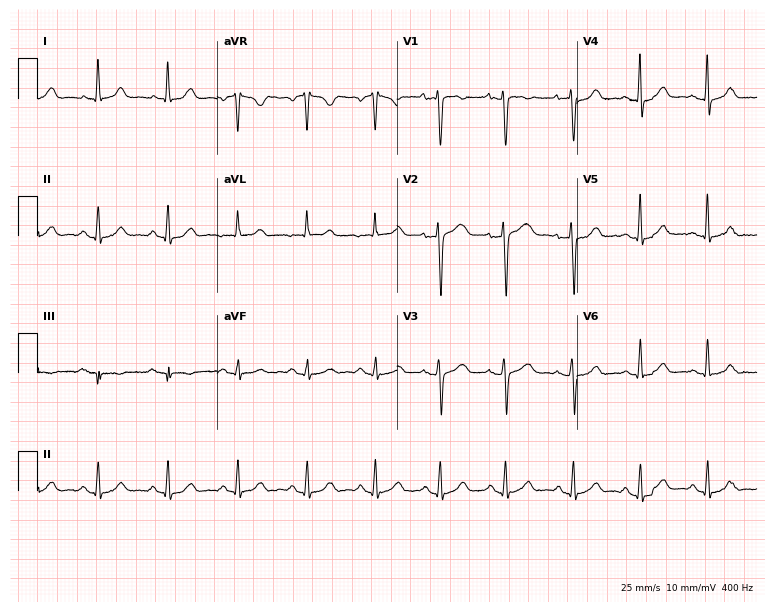
Standard 12-lead ECG recorded from a woman, 56 years old (7.3-second recording at 400 Hz). Read as a normal ECG.